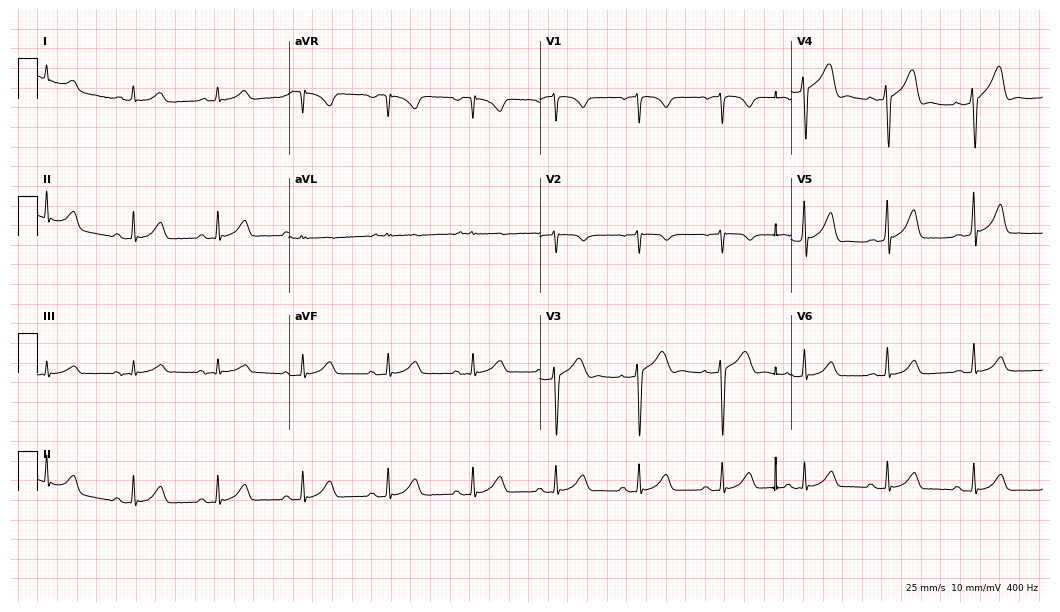
12-lead ECG from a male, 31 years old (10.2-second recording at 400 Hz). Recorded interpretation: within normal limits.